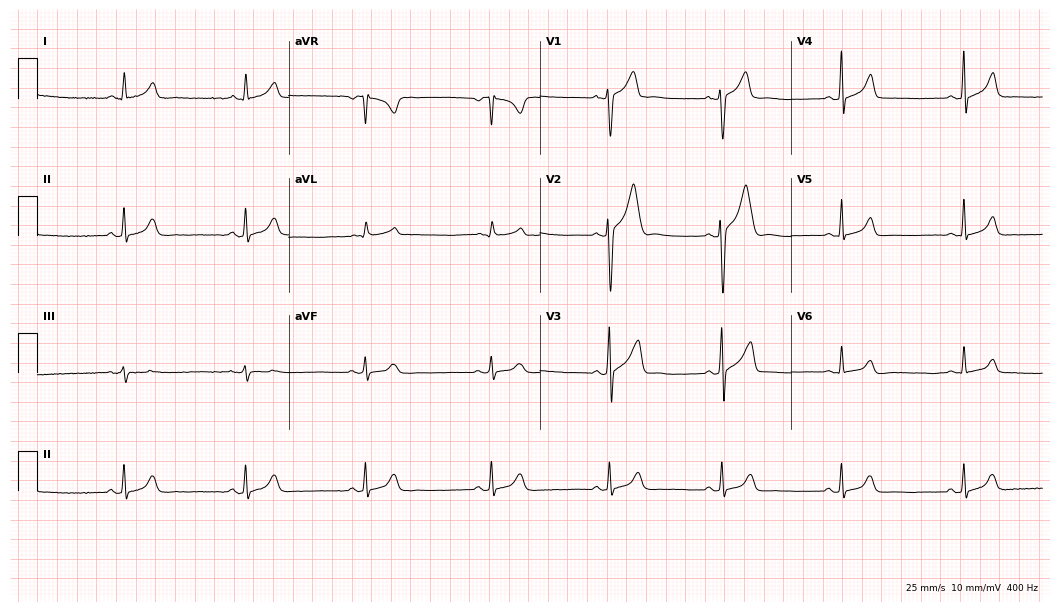
ECG — a 34-year-old male patient. Findings include sinus bradycardia (a sinus rate of 50 beats per minute or less).